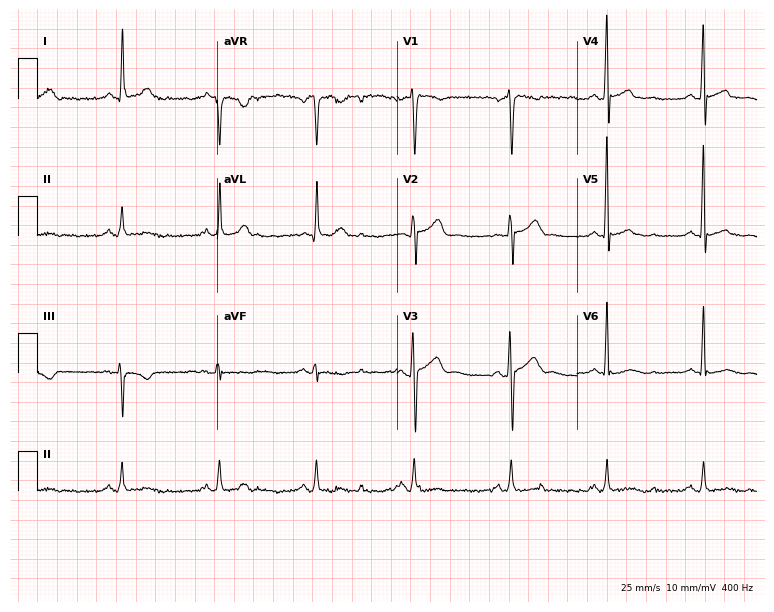
Electrocardiogram, a 72-year-old male. Of the six screened findings (first-degree AV block, right bundle branch block, left bundle branch block, sinus bradycardia, atrial fibrillation, sinus tachycardia), none is recorded. Findings outside these six are not listed.